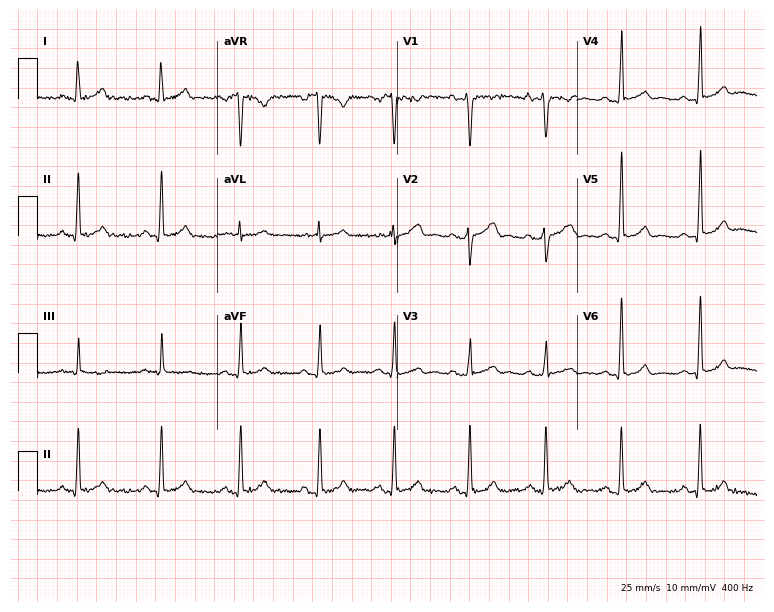
Standard 12-lead ECG recorded from a 36-year-old male. Read as a normal ECG.